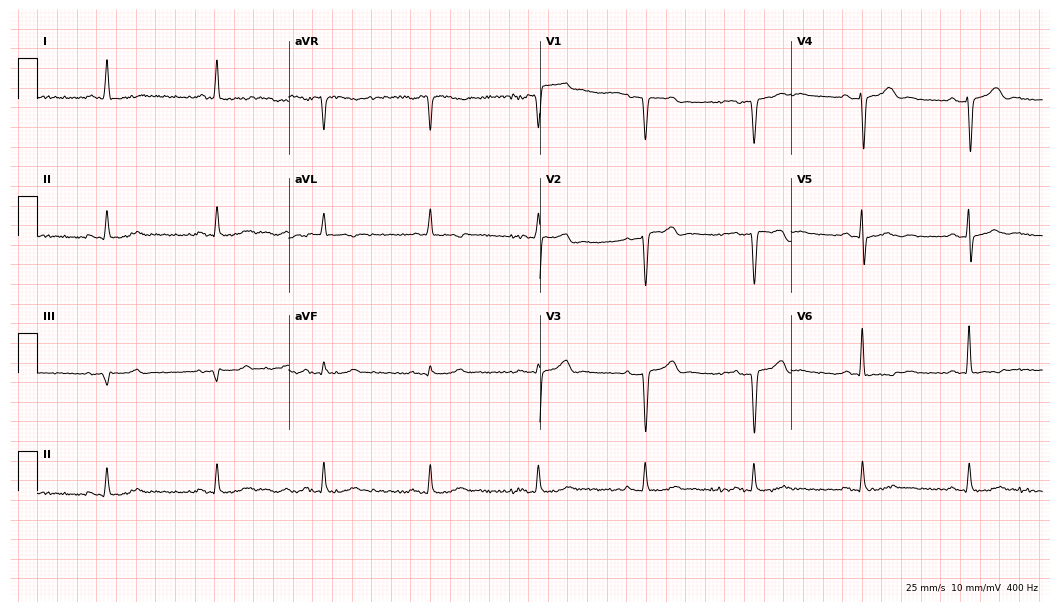
12-lead ECG from a 77-year-old male patient (10.2-second recording at 400 Hz). No first-degree AV block, right bundle branch block, left bundle branch block, sinus bradycardia, atrial fibrillation or sinus tachycardia recorded for this tracing.